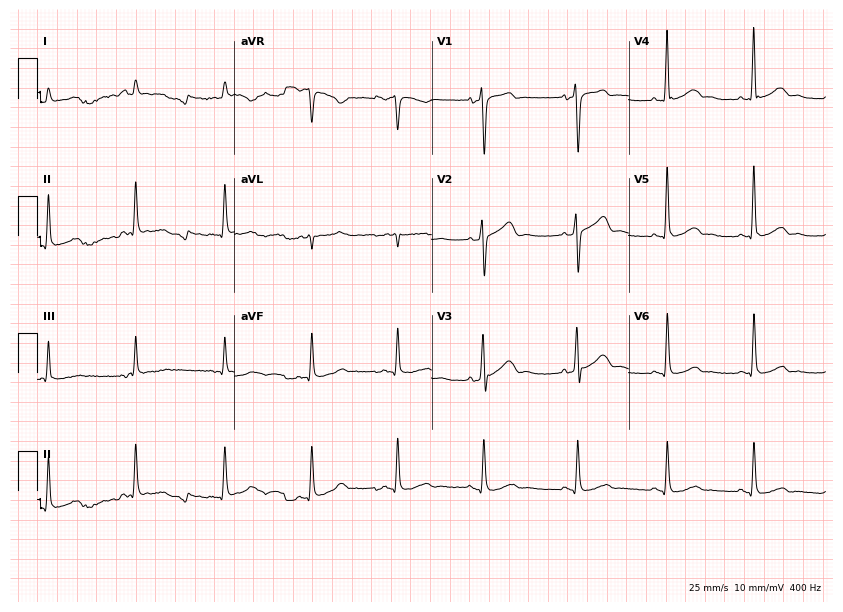
Resting 12-lead electrocardiogram (8-second recording at 400 Hz). Patient: a 53-year-old man. None of these six findings is recorded: first-degree AV block, right bundle branch block, left bundle branch block, sinus bradycardia, atrial fibrillation, sinus tachycardia. Findings outside these six are not listed.